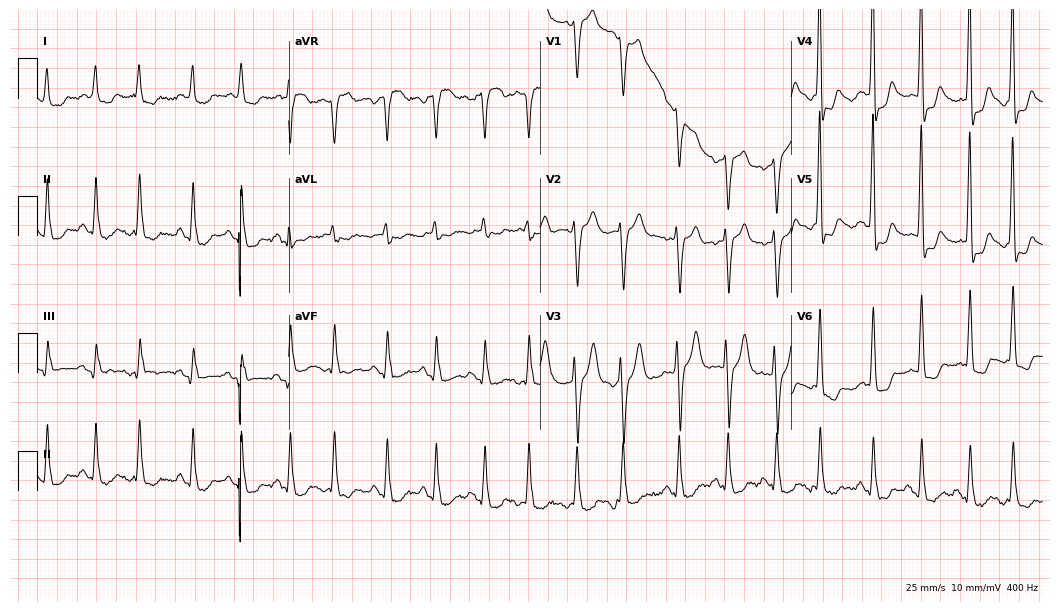
Standard 12-lead ECG recorded from a 53-year-old woman. The tracing shows sinus tachycardia (a sinus rate of 100 beats per minute or more).